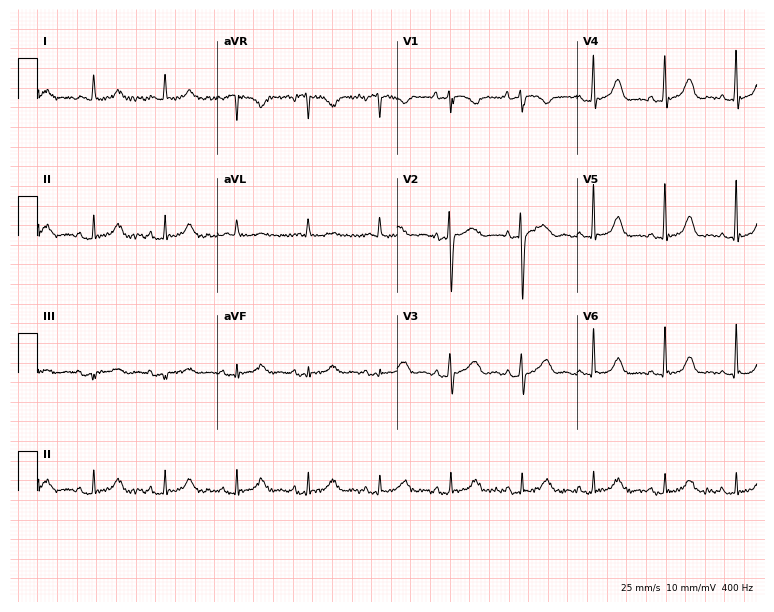
12-lead ECG from a female, 85 years old (7.3-second recording at 400 Hz). No first-degree AV block, right bundle branch block, left bundle branch block, sinus bradycardia, atrial fibrillation or sinus tachycardia recorded for this tracing. Only these six findings were labelled.